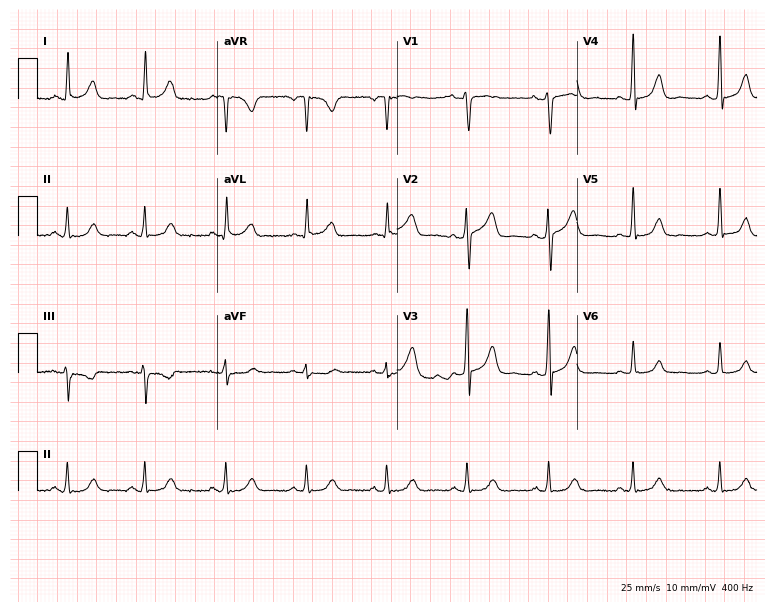
ECG (7.3-second recording at 400 Hz) — a 56-year-old male. Labelled as a normal ECG.